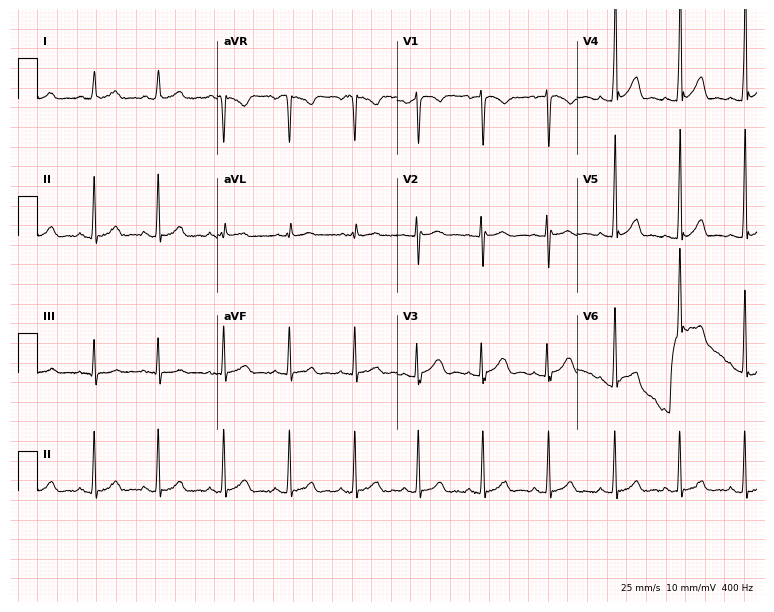
12-lead ECG (7.3-second recording at 400 Hz) from a 23-year-old woman. Labelled as a normal ECG.